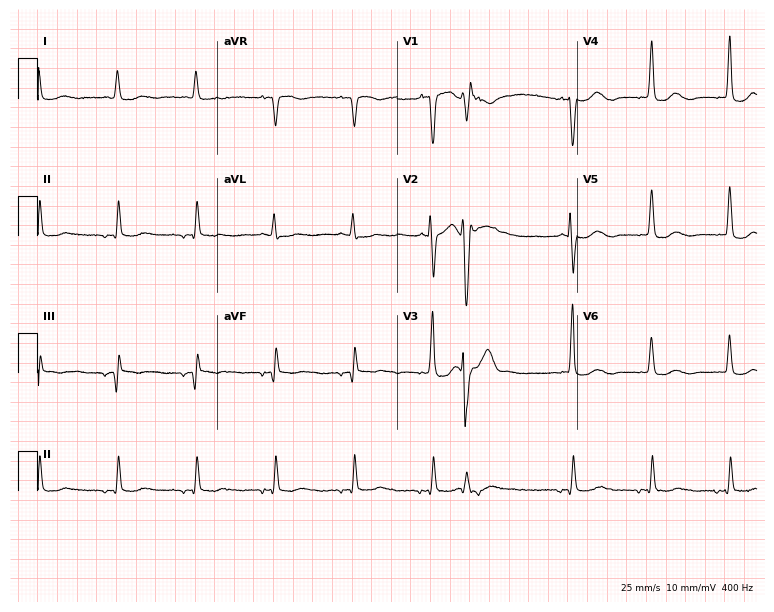
12-lead ECG (7.3-second recording at 400 Hz) from a 78-year-old man. Screened for six findings — first-degree AV block, right bundle branch block, left bundle branch block, sinus bradycardia, atrial fibrillation, sinus tachycardia — none is recorded.